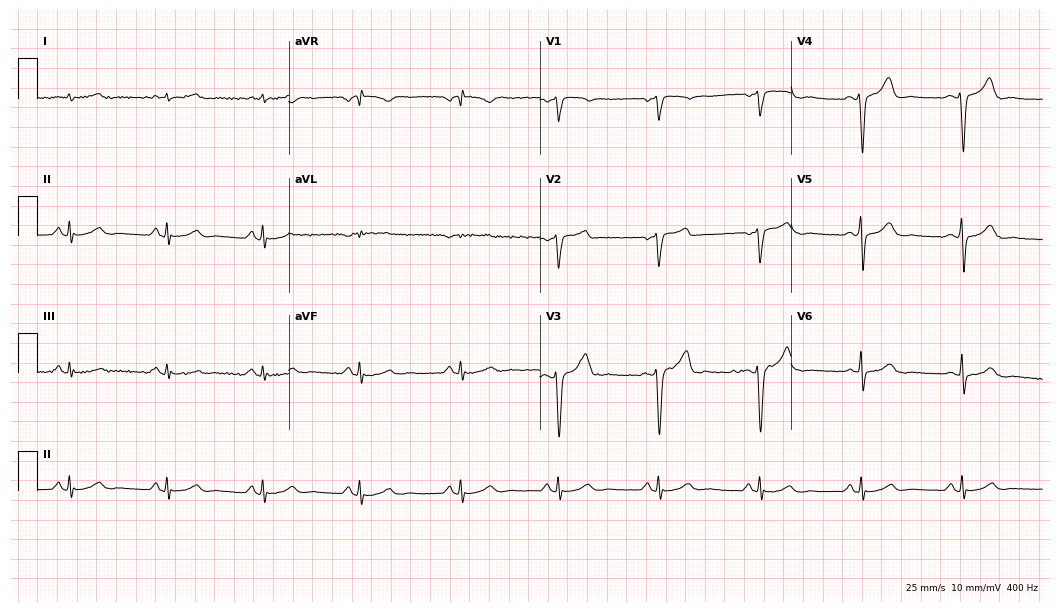
12-lead ECG from a male, 45 years old. No first-degree AV block, right bundle branch block (RBBB), left bundle branch block (LBBB), sinus bradycardia, atrial fibrillation (AF) or sinus tachycardia recorded for this tracing.